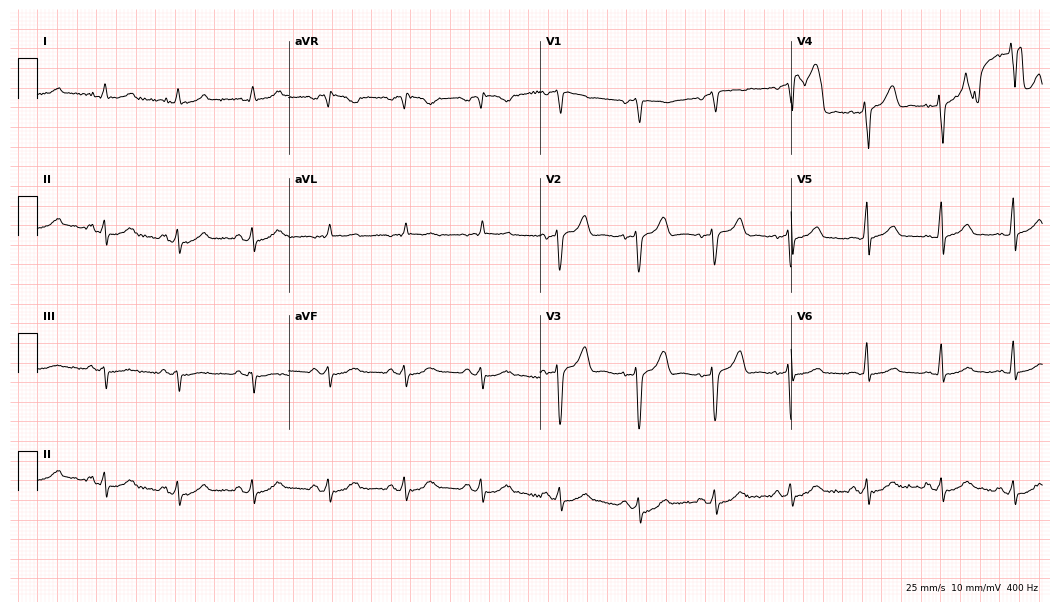
12-lead ECG from a man, 45 years old. Screened for six findings — first-degree AV block, right bundle branch block, left bundle branch block, sinus bradycardia, atrial fibrillation, sinus tachycardia — none is recorded. Other findings, if any, are not listed.